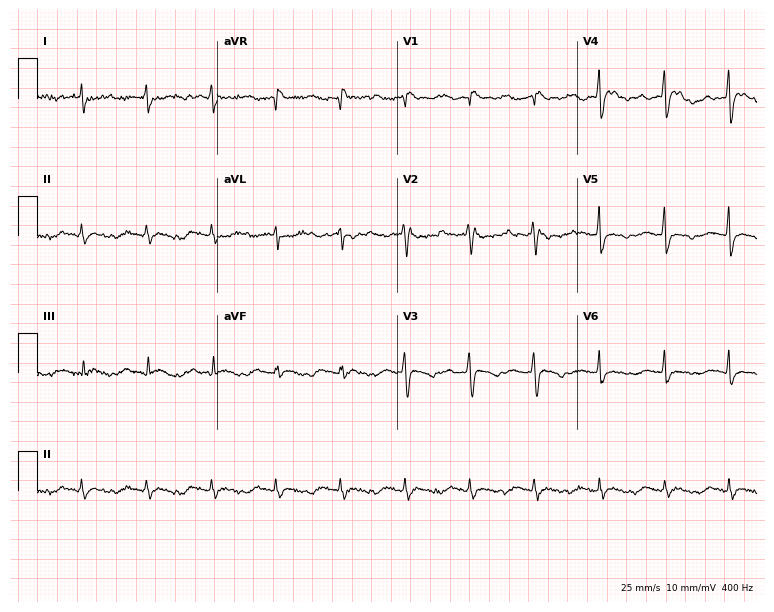
12-lead ECG from a 54-year-old female. Shows first-degree AV block.